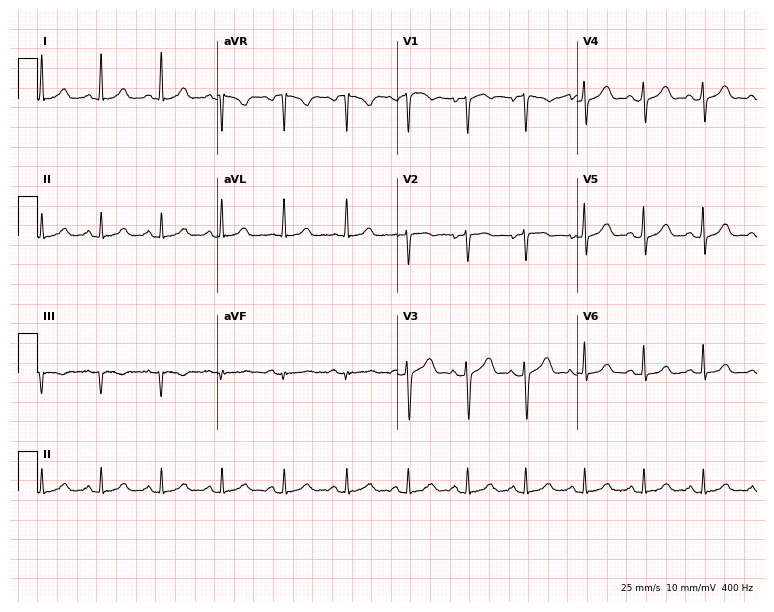
12-lead ECG from a woman, 42 years old (7.3-second recording at 400 Hz). Recorded interpretation: within normal limits.